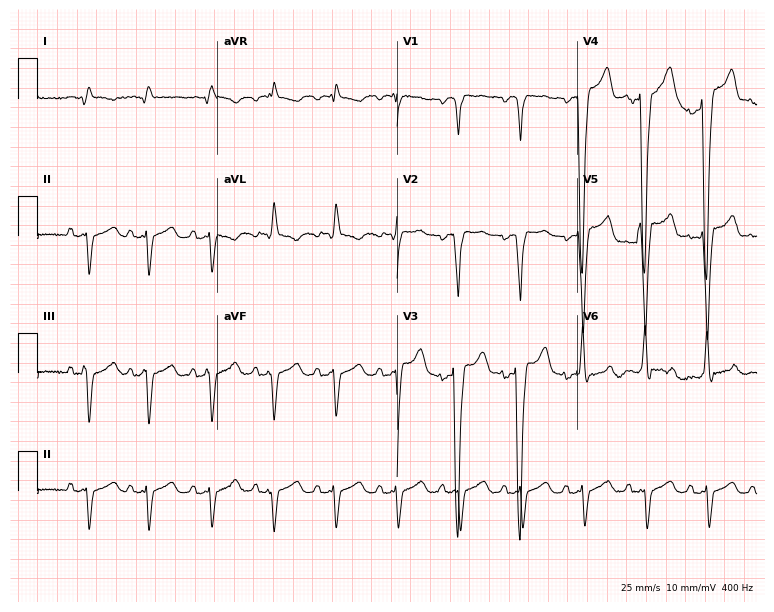
12-lead ECG from a 66-year-old male patient. Screened for six findings — first-degree AV block, right bundle branch block, left bundle branch block, sinus bradycardia, atrial fibrillation, sinus tachycardia — none is recorded.